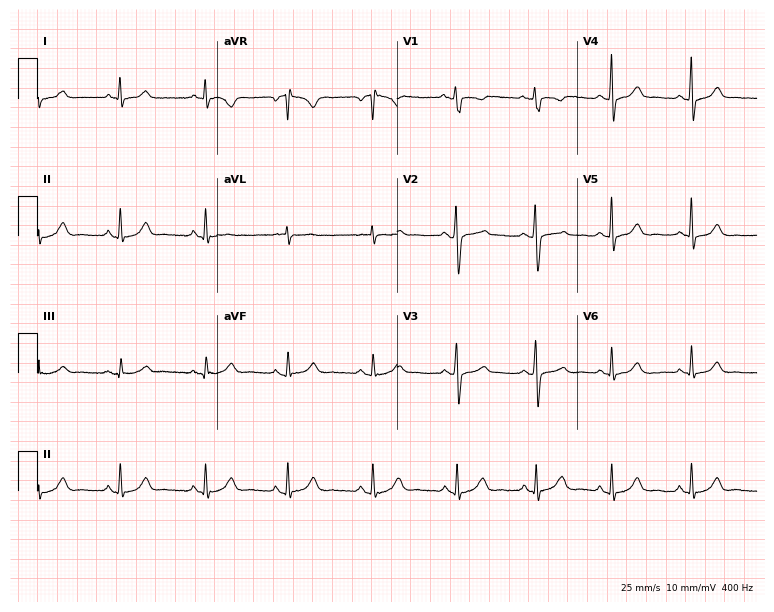
12-lead ECG (7.3-second recording at 400 Hz) from a female, 47 years old. Labelled as a normal ECG.